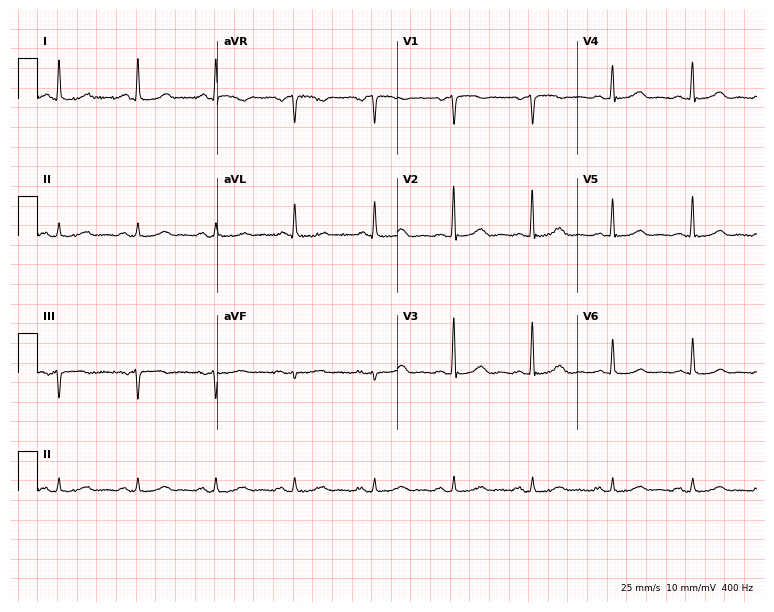
Standard 12-lead ECG recorded from a woman, 47 years old (7.3-second recording at 400 Hz). Read as a normal ECG.